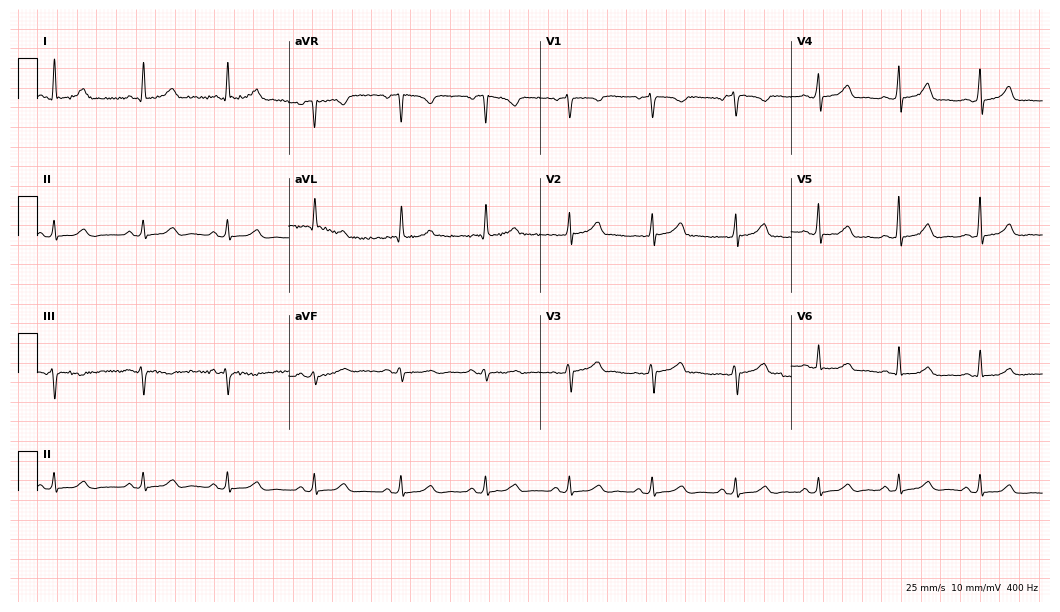
Standard 12-lead ECG recorded from a woman, 54 years old. Read as a normal ECG.